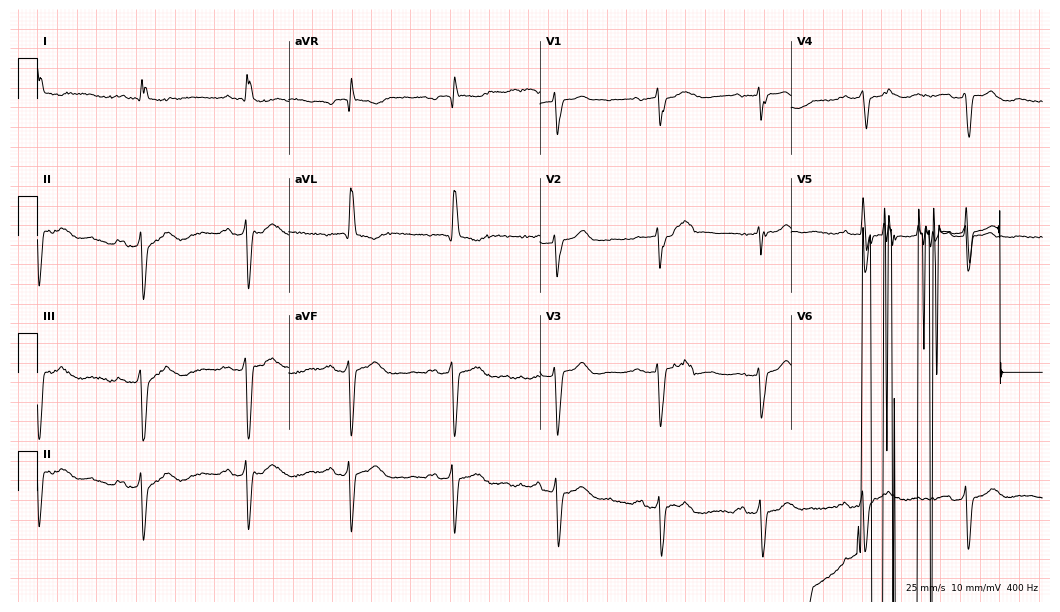
ECG (10.2-second recording at 400 Hz) — a female, 79 years old. Screened for six findings — first-degree AV block, right bundle branch block, left bundle branch block, sinus bradycardia, atrial fibrillation, sinus tachycardia — none is recorded. Only these six findings were labelled.